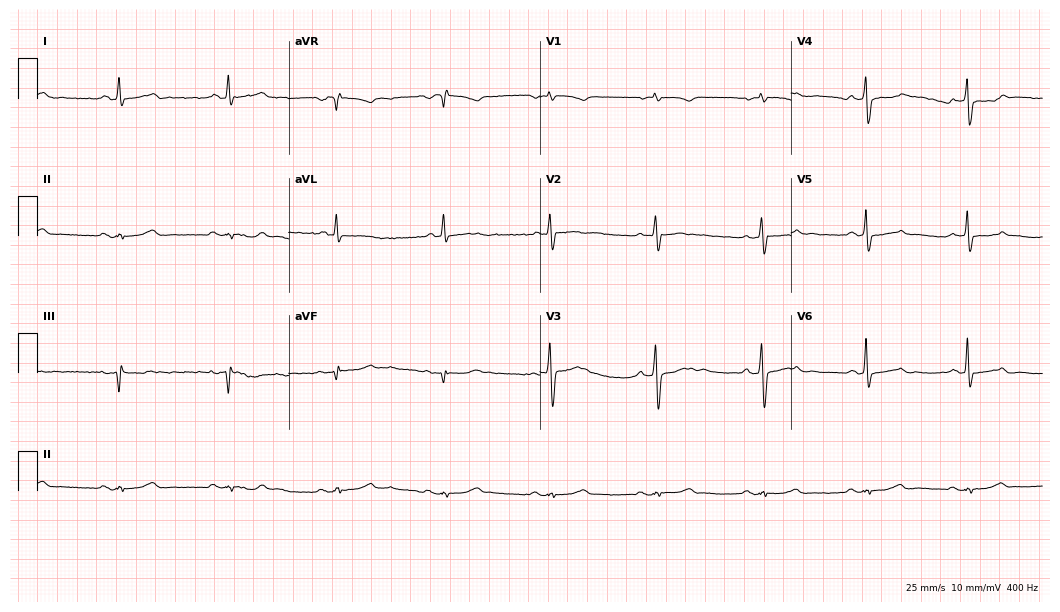
ECG (10.2-second recording at 400 Hz) — a 66-year-old male. Screened for six findings — first-degree AV block, right bundle branch block, left bundle branch block, sinus bradycardia, atrial fibrillation, sinus tachycardia — none is recorded.